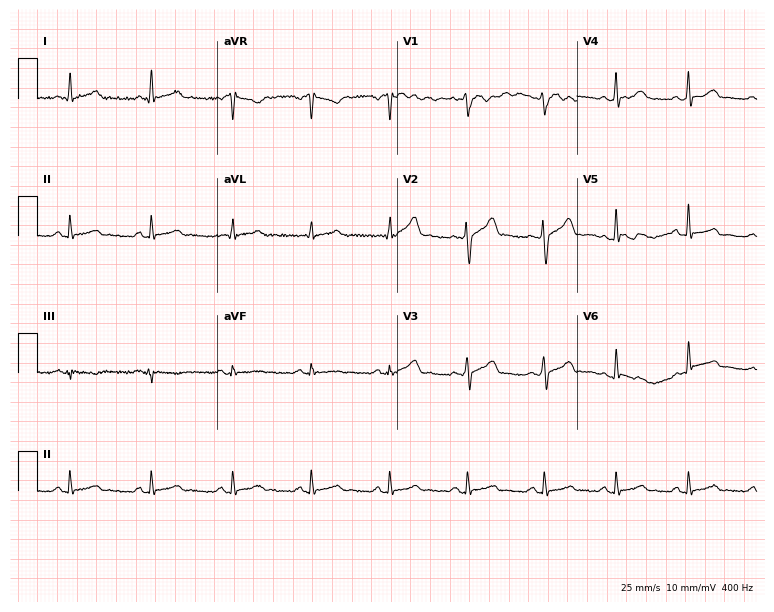
Resting 12-lead electrocardiogram (7.3-second recording at 400 Hz). Patient: a male, 33 years old. Read as a normal ECG.